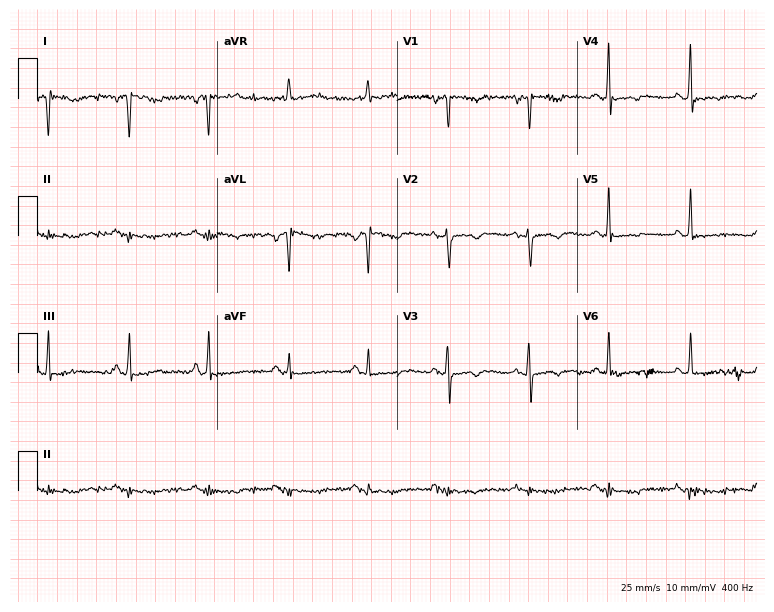
Resting 12-lead electrocardiogram (7.3-second recording at 400 Hz). Patient: a 61-year-old female. None of these six findings is recorded: first-degree AV block, right bundle branch block, left bundle branch block, sinus bradycardia, atrial fibrillation, sinus tachycardia. Findings outside these six are not listed.